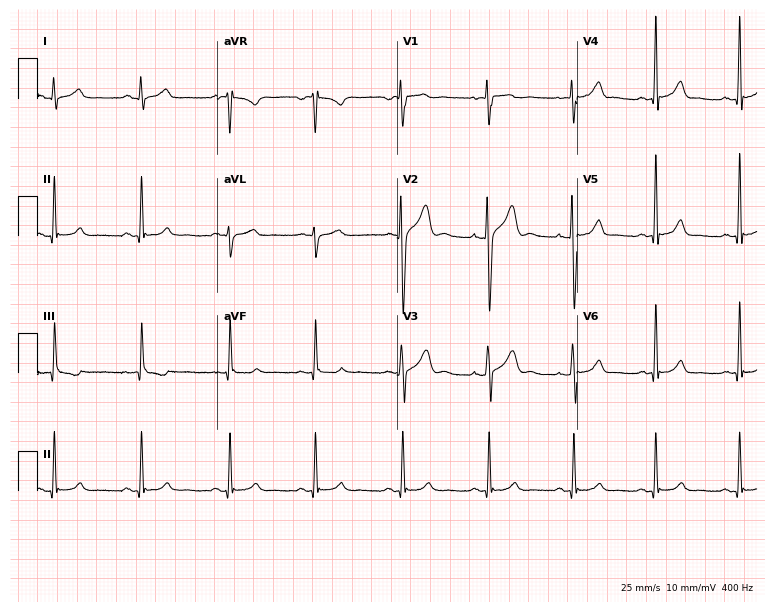
Electrocardiogram (7.3-second recording at 400 Hz), a man, 21 years old. Of the six screened findings (first-degree AV block, right bundle branch block, left bundle branch block, sinus bradycardia, atrial fibrillation, sinus tachycardia), none is recorded.